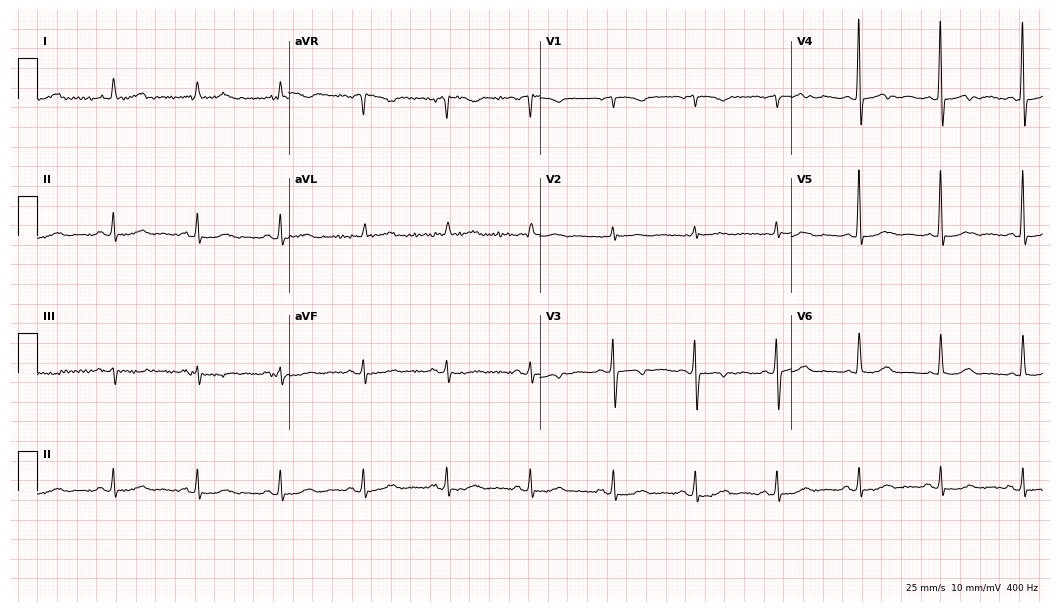
Standard 12-lead ECG recorded from a 79-year-old female (10.2-second recording at 400 Hz). None of these six findings is recorded: first-degree AV block, right bundle branch block, left bundle branch block, sinus bradycardia, atrial fibrillation, sinus tachycardia.